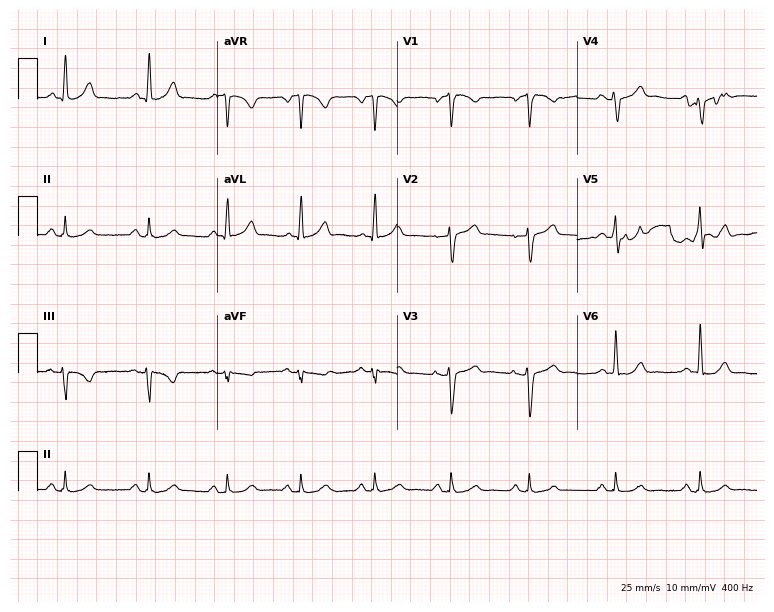
Resting 12-lead electrocardiogram (7.3-second recording at 400 Hz). Patient: a 52-year-old man. None of these six findings is recorded: first-degree AV block, right bundle branch block, left bundle branch block, sinus bradycardia, atrial fibrillation, sinus tachycardia.